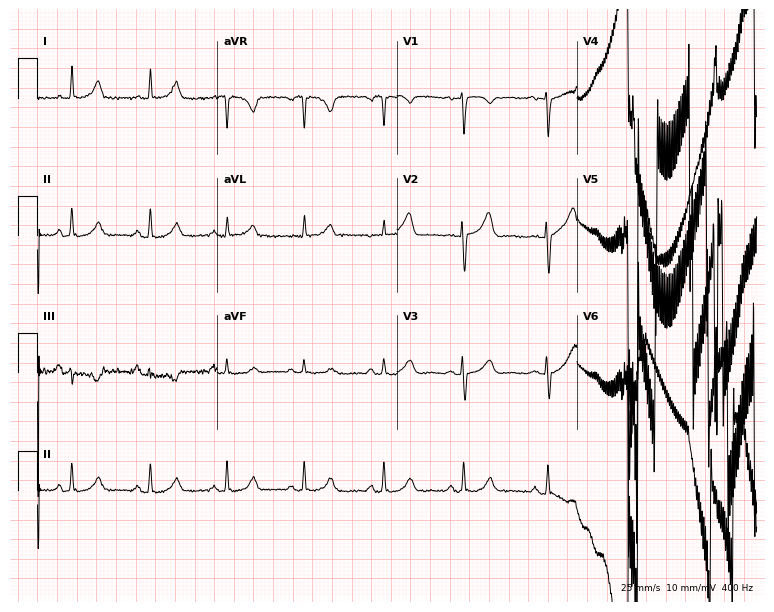
Standard 12-lead ECG recorded from a woman, 49 years old. None of these six findings is recorded: first-degree AV block, right bundle branch block (RBBB), left bundle branch block (LBBB), sinus bradycardia, atrial fibrillation (AF), sinus tachycardia.